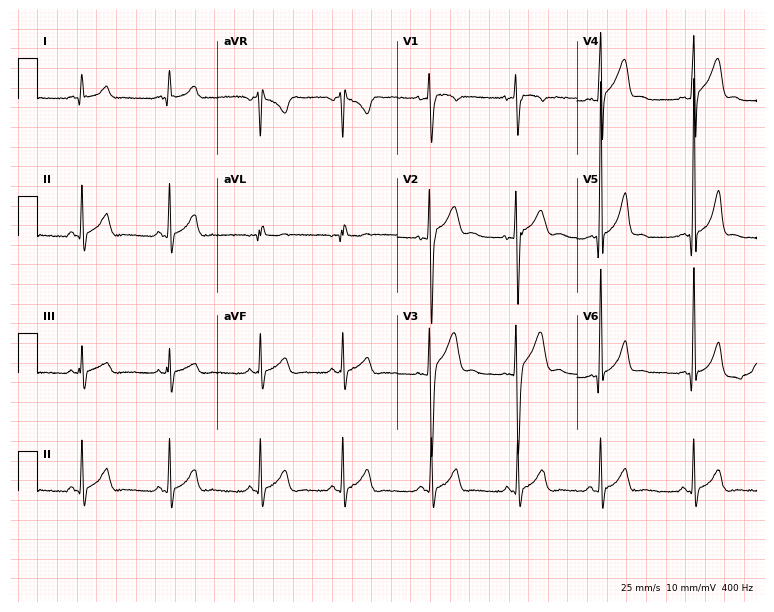
ECG (7.3-second recording at 400 Hz) — a male patient, 18 years old. Labelled as a normal ECG.